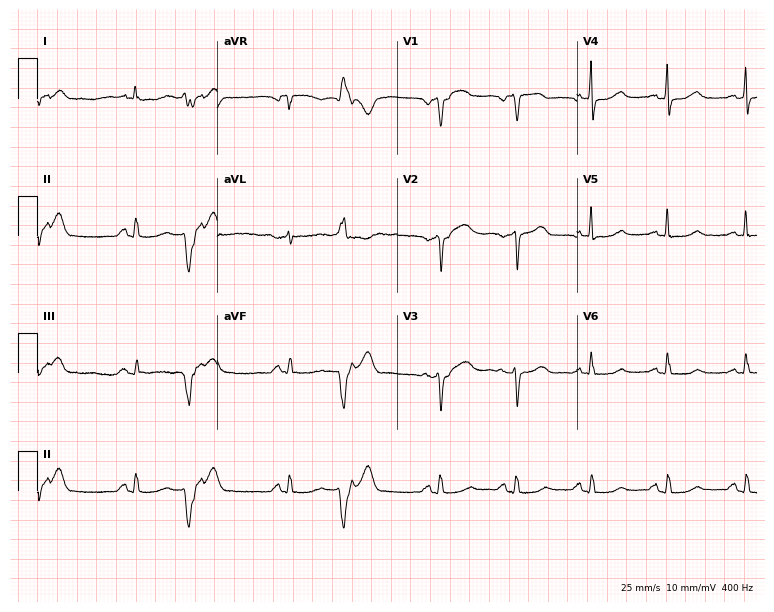
12-lead ECG from a female, 74 years old (7.3-second recording at 400 Hz). Recorded interpretation: within normal limits.